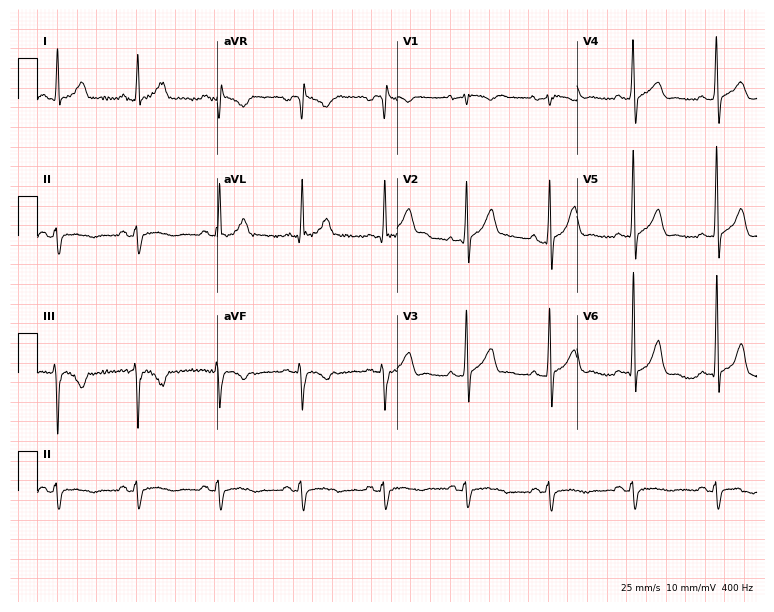
Standard 12-lead ECG recorded from a male patient, 50 years old (7.3-second recording at 400 Hz). None of these six findings is recorded: first-degree AV block, right bundle branch block (RBBB), left bundle branch block (LBBB), sinus bradycardia, atrial fibrillation (AF), sinus tachycardia.